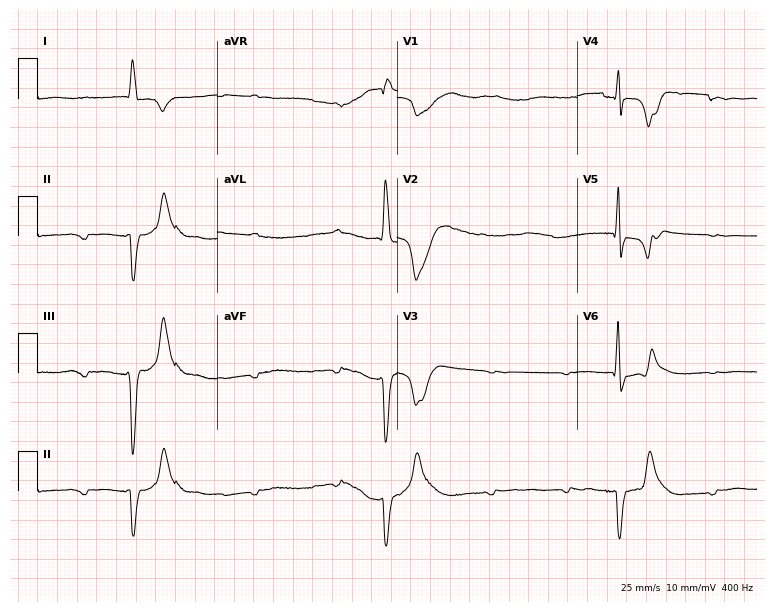
Standard 12-lead ECG recorded from a female, 80 years old. None of these six findings is recorded: first-degree AV block, right bundle branch block (RBBB), left bundle branch block (LBBB), sinus bradycardia, atrial fibrillation (AF), sinus tachycardia. Findings outside these six are not listed.